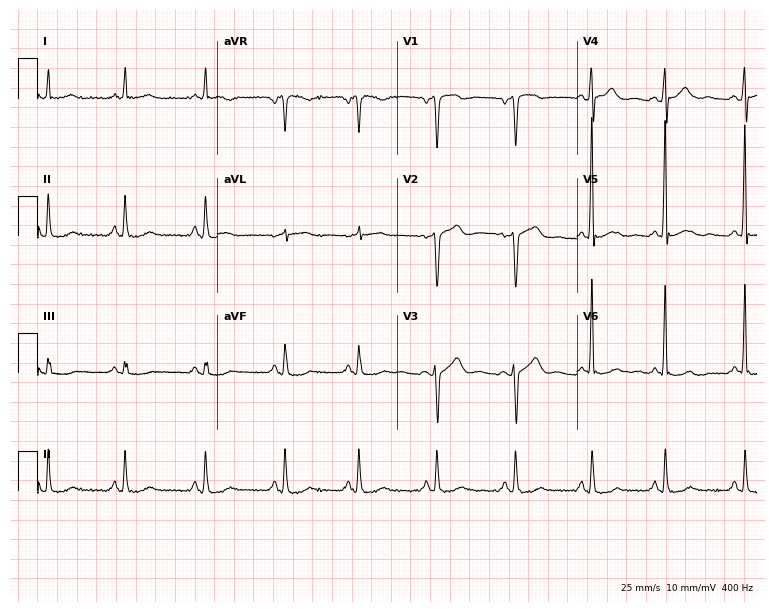
Standard 12-lead ECG recorded from a male patient, 59 years old. None of these six findings is recorded: first-degree AV block, right bundle branch block, left bundle branch block, sinus bradycardia, atrial fibrillation, sinus tachycardia. Other findings, if any, are not listed.